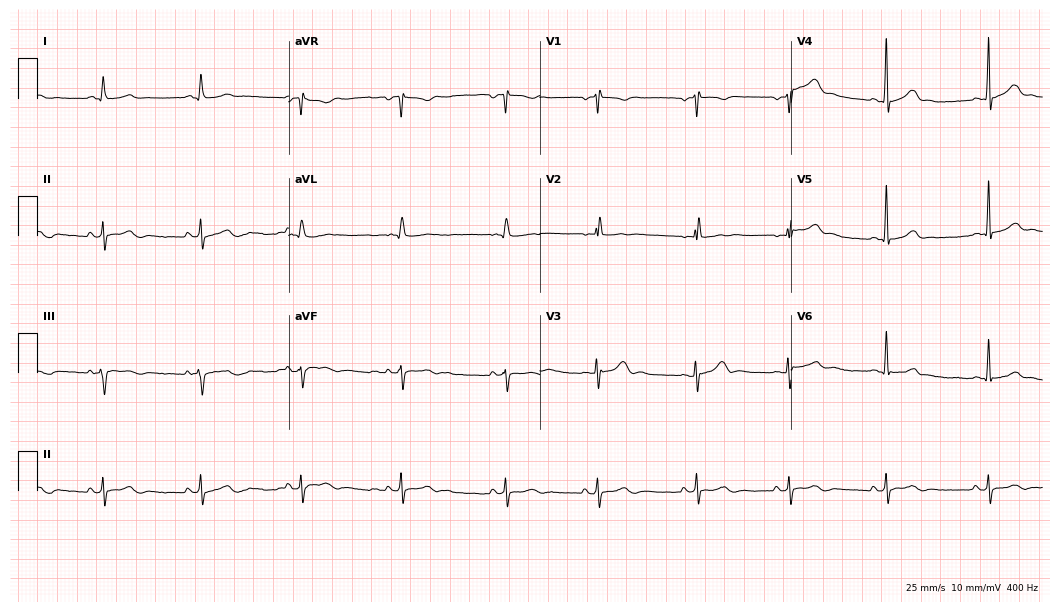
ECG — a female patient, 24 years old. Labelled as a normal ECG.